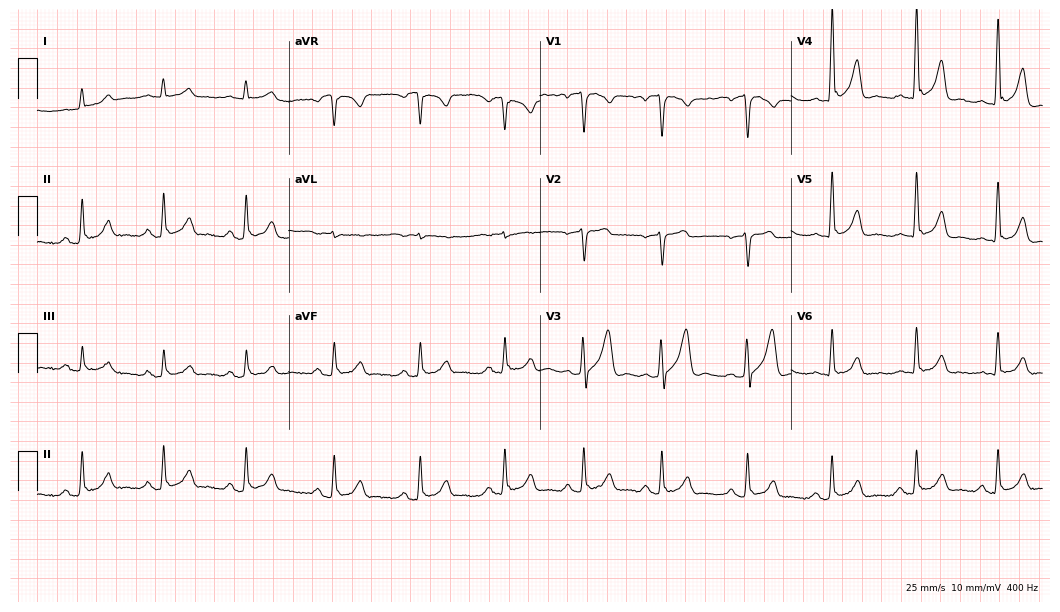
Standard 12-lead ECG recorded from a 38-year-old male patient. Read as a normal ECG.